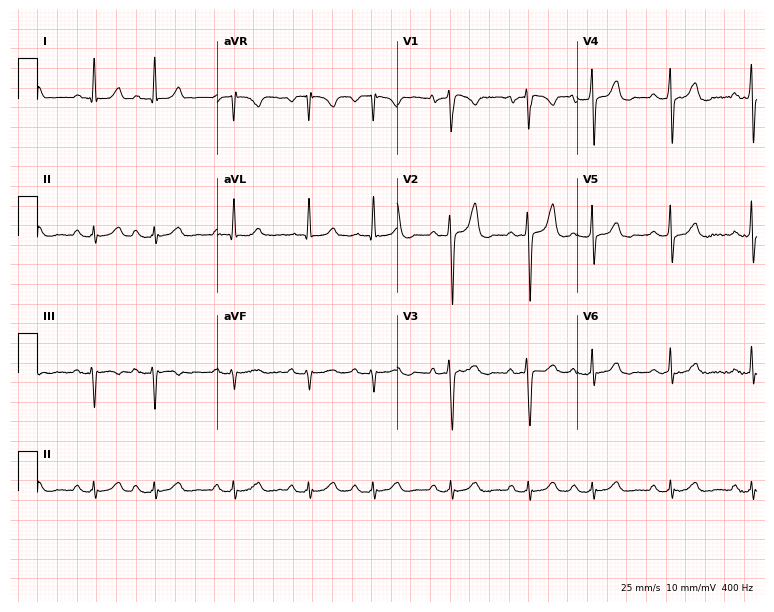
Standard 12-lead ECG recorded from a male patient, 84 years old (7.3-second recording at 400 Hz). Read as a normal ECG.